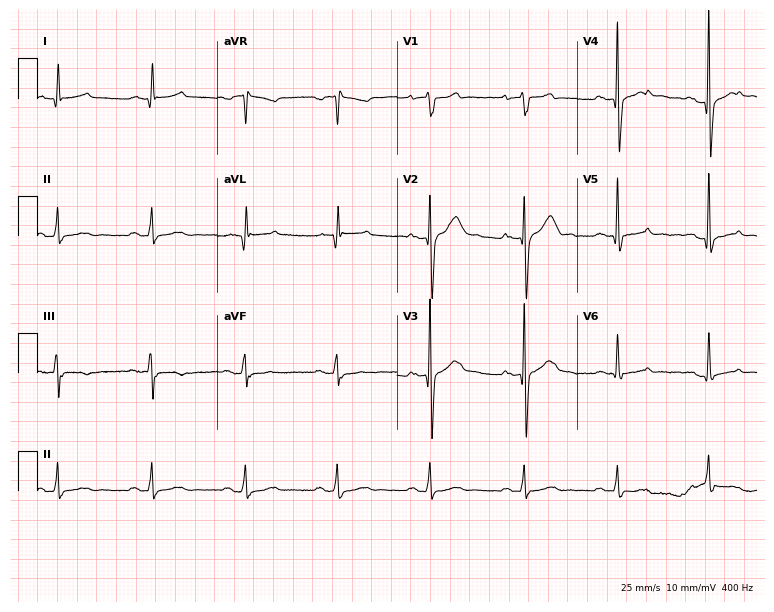
Standard 12-lead ECG recorded from a male, 63 years old. None of these six findings is recorded: first-degree AV block, right bundle branch block, left bundle branch block, sinus bradycardia, atrial fibrillation, sinus tachycardia.